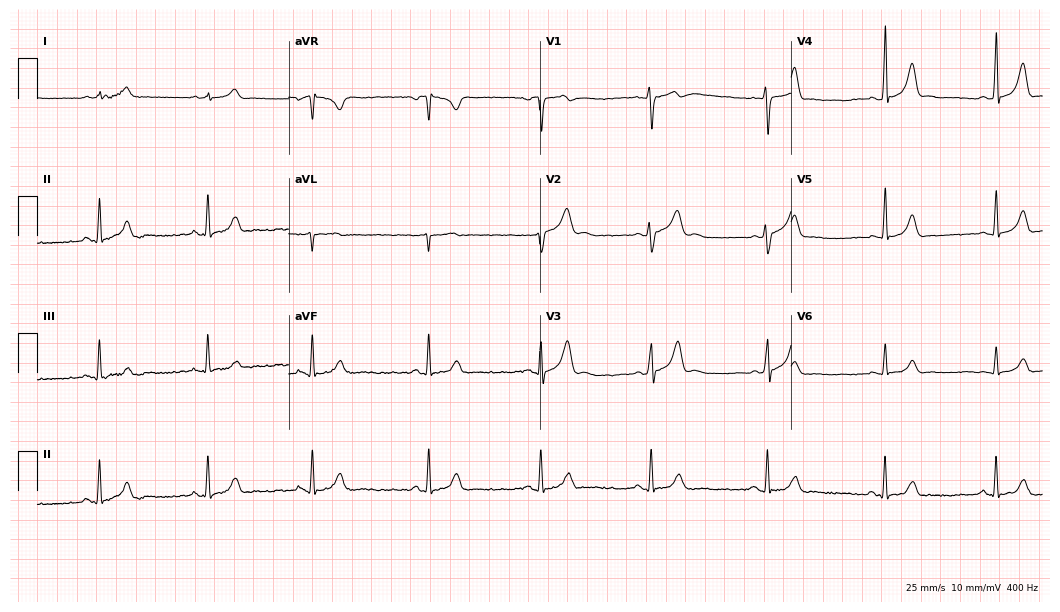
ECG (10.2-second recording at 400 Hz) — a 20-year-old male patient. Labelled as a normal ECG.